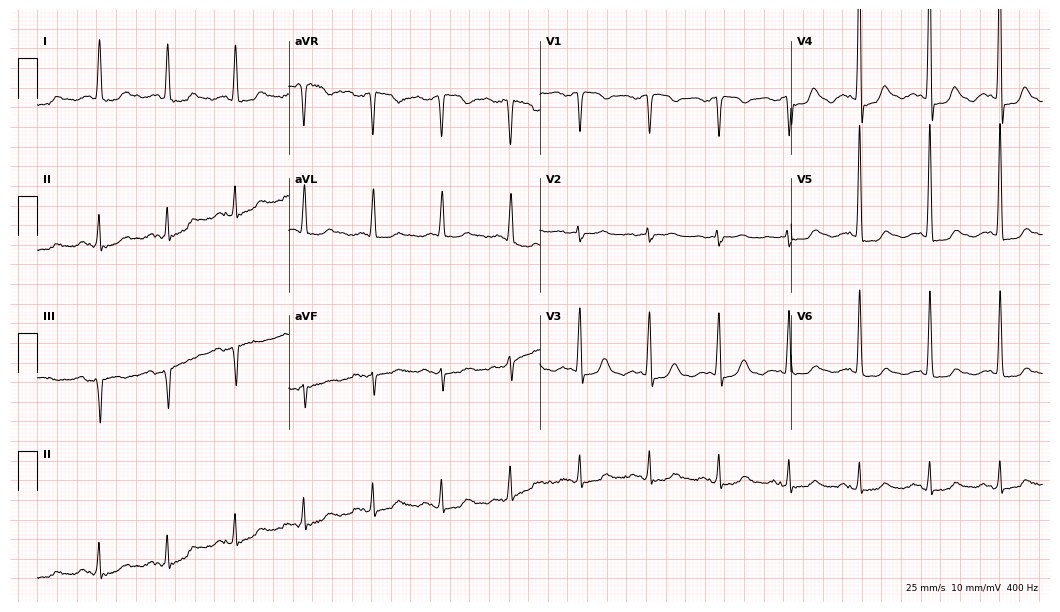
12-lead ECG from a 76-year-old female patient. Screened for six findings — first-degree AV block, right bundle branch block, left bundle branch block, sinus bradycardia, atrial fibrillation, sinus tachycardia — none is recorded. Other findings, if any, are not listed.